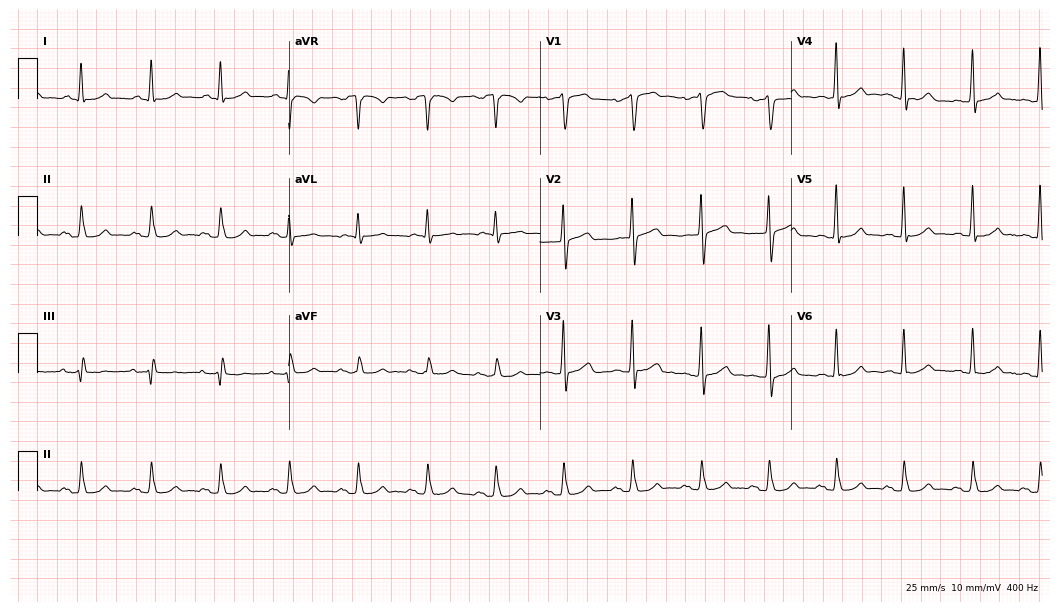
Resting 12-lead electrocardiogram (10.2-second recording at 400 Hz). Patient: a 67-year-old man. None of these six findings is recorded: first-degree AV block, right bundle branch block, left bundle branch block, sinus bradycardia, atrial fibrillation, sinus tachycardia.